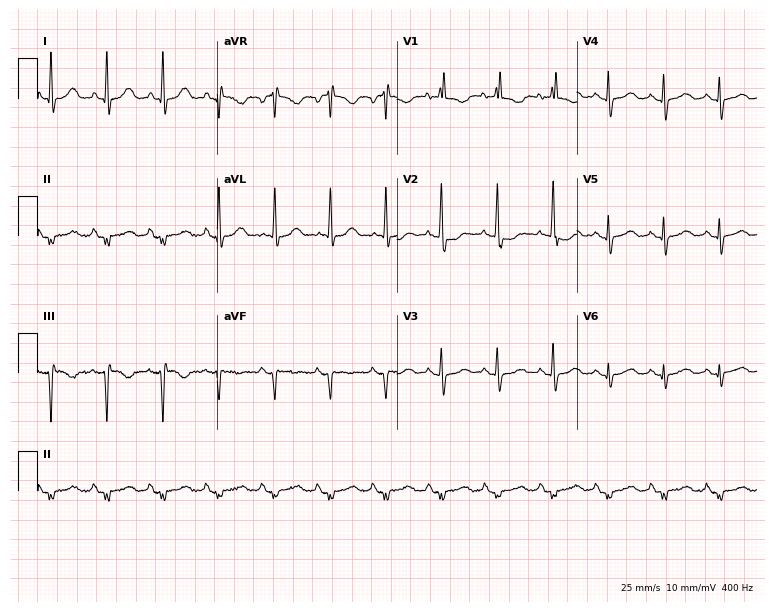
Electrocardiogram (7.3-second recording at 400 Hz), a 73-year-old woman. Interpretation includes sinus tachycardia (a sinus rate of 100 beats per minute or more).